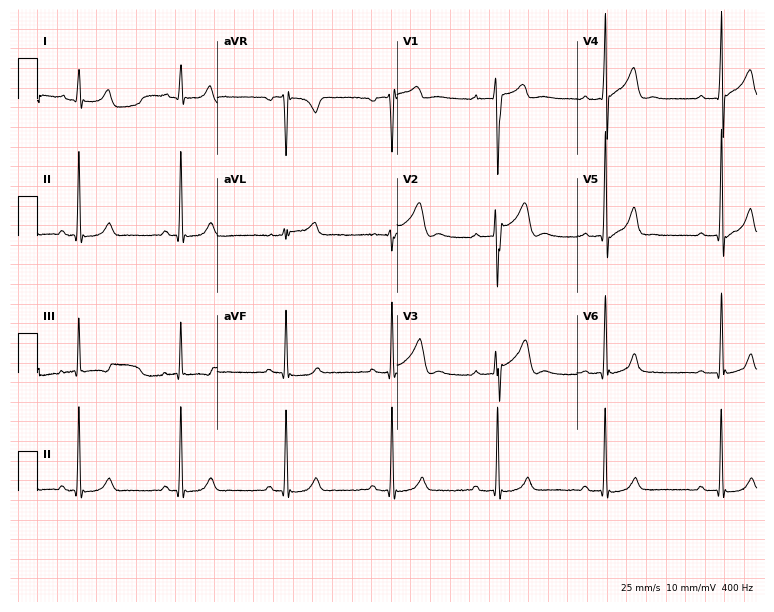
Resting 12-lead electrocardiogram (7.3-second recording at 400 Hz). Patient: a man, 27 years old. None of these six findings is recorded: first-degree AV block, right bundle branch block, left bundle branch block, sinus bradycardia, atrial fibrillation, sinus tachycardia. Other findings, if any, are not listed.